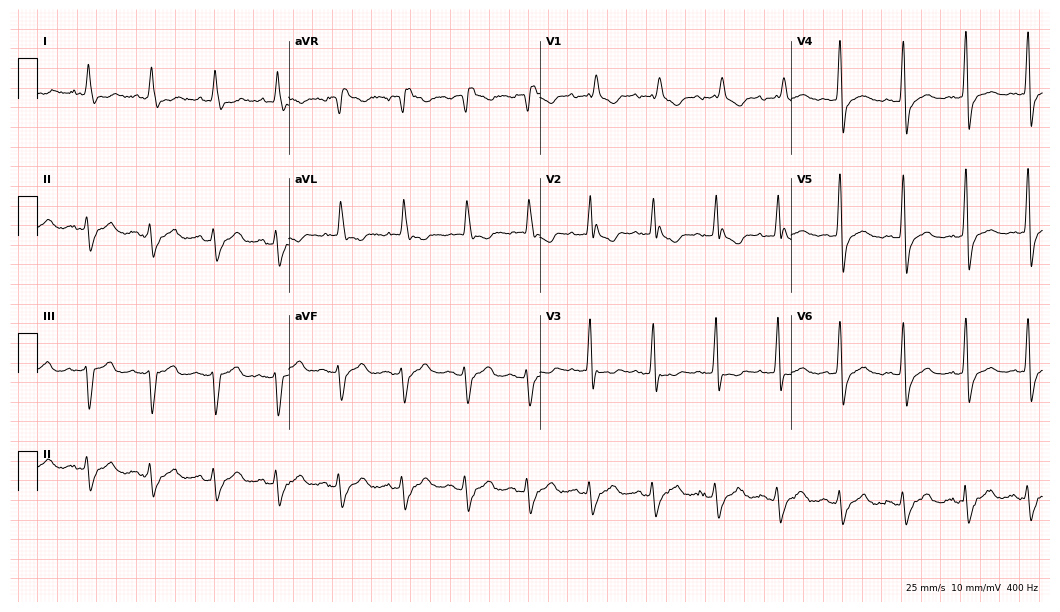
12-lead ECG from a man, 78 years old. Findings include right bundle branch block (RBBB).